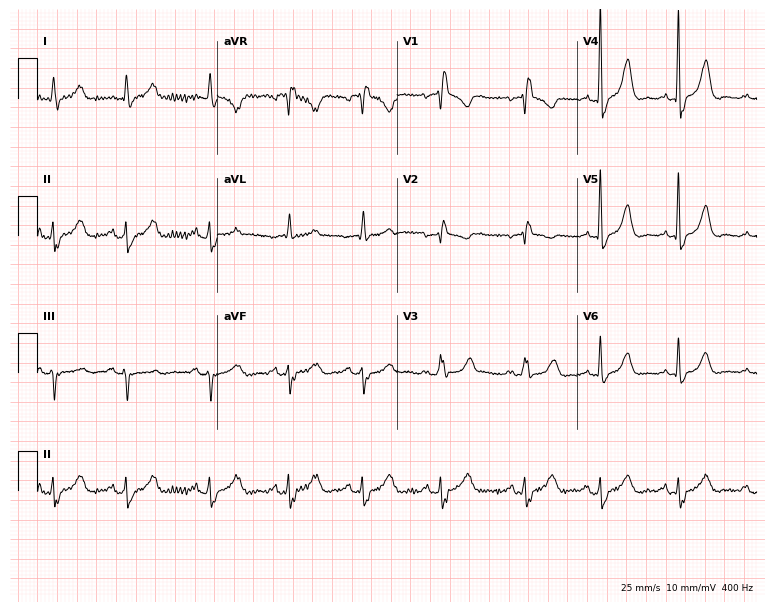
Standard 12-lead ECG recorded from a female, 67 years old. The tracing shows right bundle branch block.